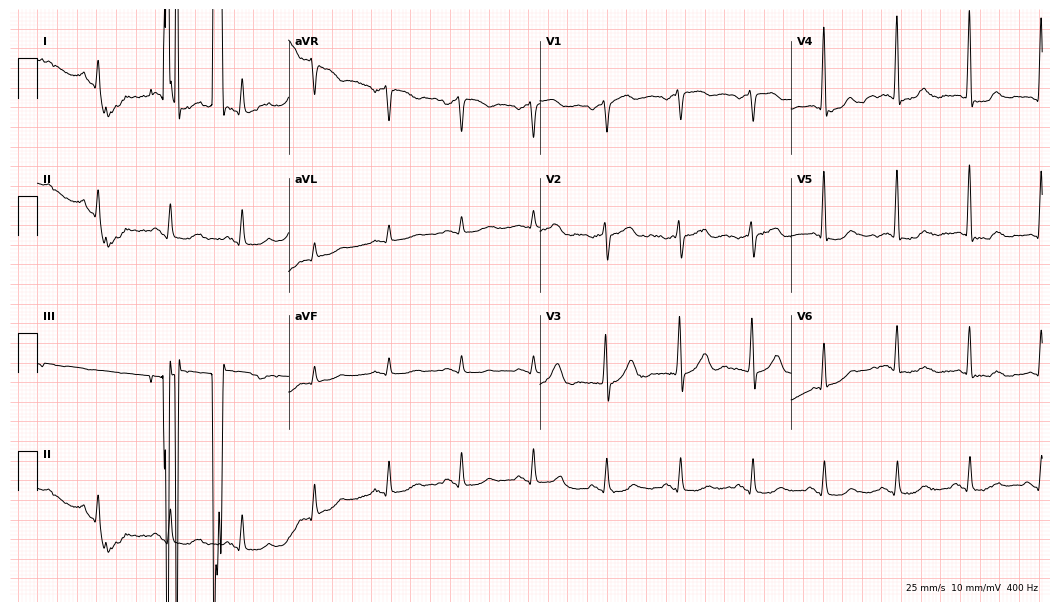
Resting 12-lead electrocardiogram. Patient: an 81-year-old man. None of these six findings is recorded: first-degree AV block, right bundle branch block, left bundle branch block, sinus bradycardia, atrial fibrillation, sinus tachycardia. Findings outside these six are not listed.